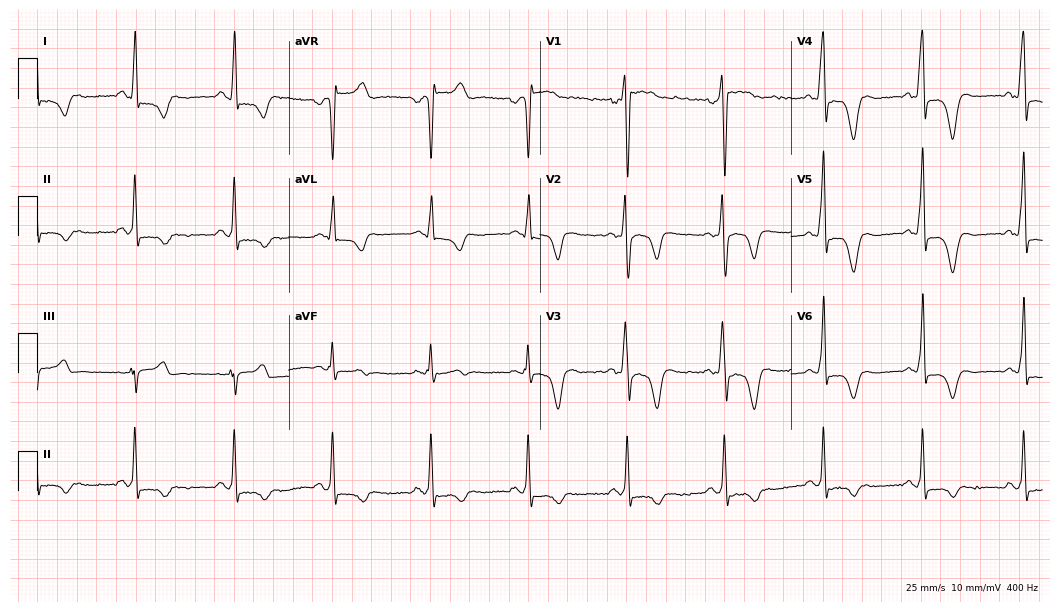
ECG (10.2-second recording at 400 Hz) — a male, 34 years old. Screened for six findings — first-degree AV block, right bundle branch block (RBBB), left bundle branch block (LBBB), sinus bradycardia, atrial fibrillation (AF), sinus tachycardia — none is recorded.